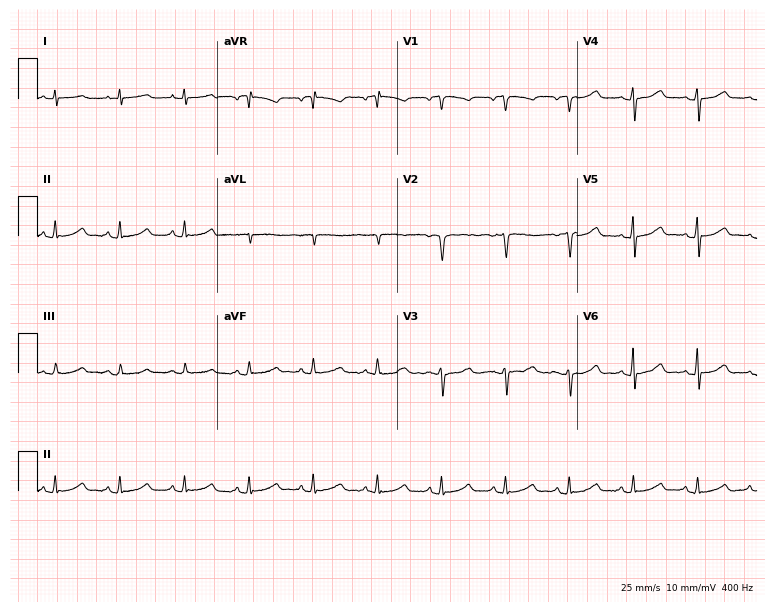
Standard 12-lead ECG recorded from a 60-year-old female patient (7.3-second recording at 400 Hz). None of these six findings is recorded: first-degree AV block, right bundle branch block, left bundle branch block, sinus bradycardia, atrial fibrillation, sinus tachycardia.